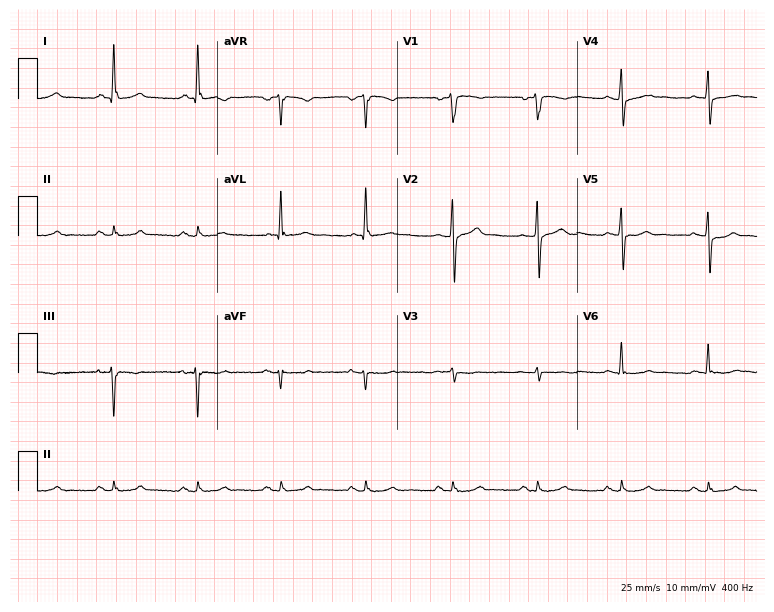
ECG — a 45-year-old male patient. Screened for six findings — first-degree AV block, right bundle branch block, left bundle branch block, sinus bradycardia, atrial fibrillation, sinus tachycardia — none is recorded.